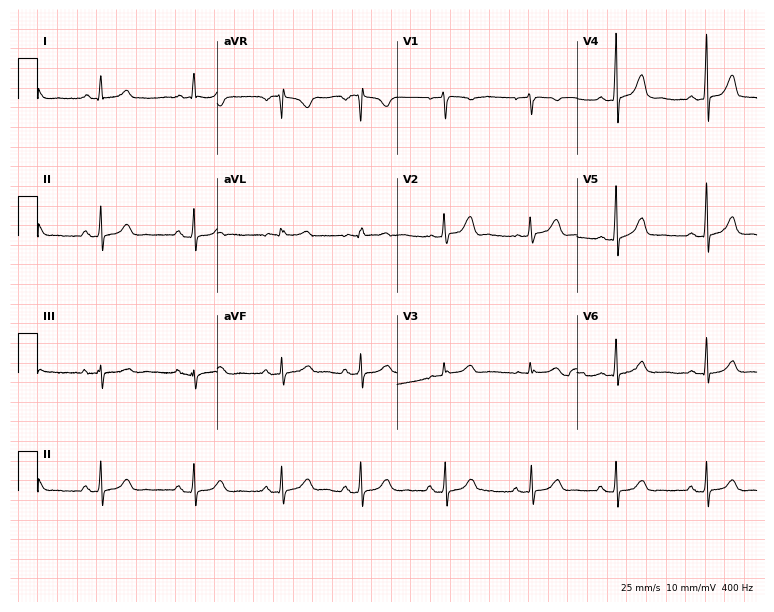
Resting 12-lead electrocardiogram (7.3-second recording at 400 Hz). Patient: a female, 27 years old. Read as a normal ECG.